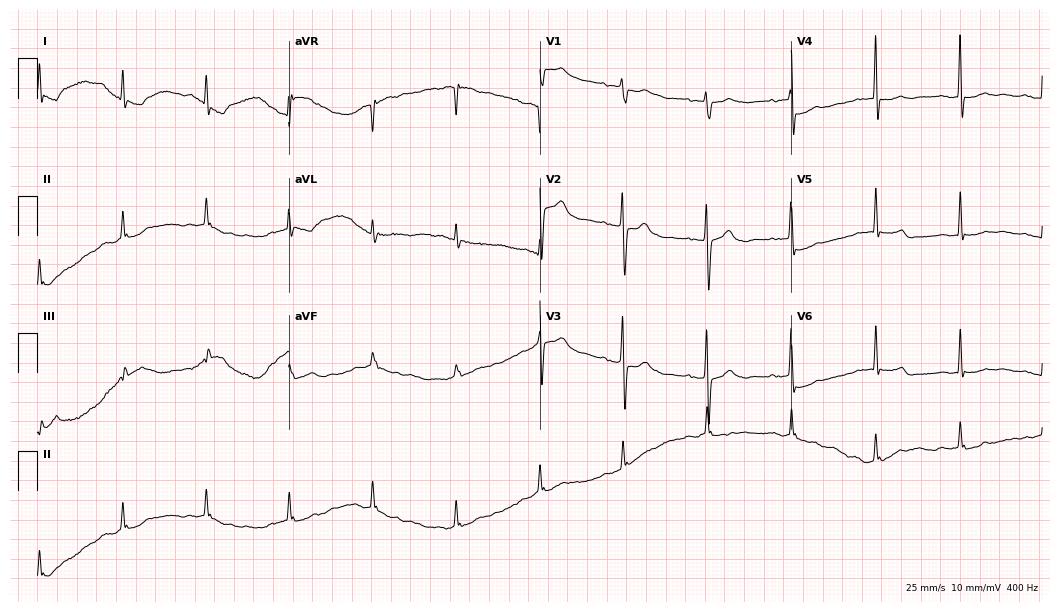
12-lead ECG from an 83-year-old female. No first-degree AV block, right bundle branch block (RBBB), left bundle branch block (LBBB), sinus bradycardia, atrial fibrillation (AF) or sinus tachycardia recorded for this tracing.